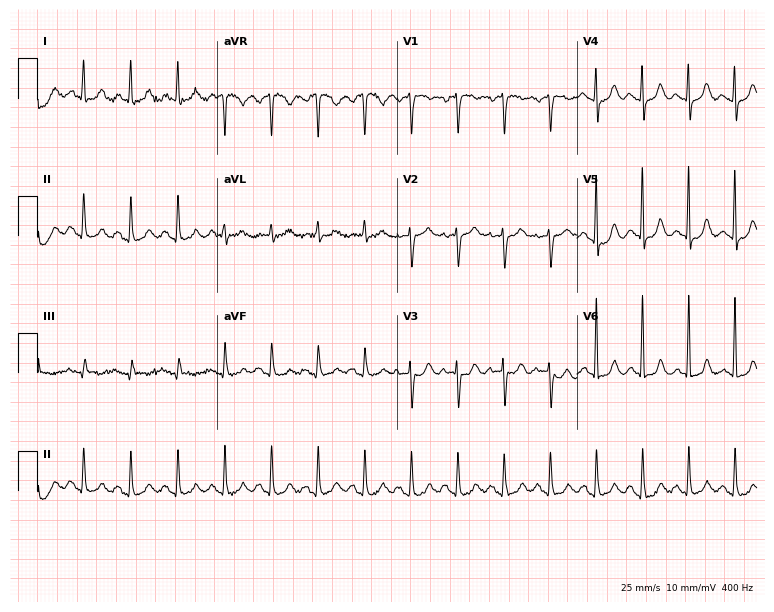
Standard 12-lead ECG recorded from a female, 63 years old. The tracing shows sinus tachycardia (a sinus rate of 100 beats per minute or more).